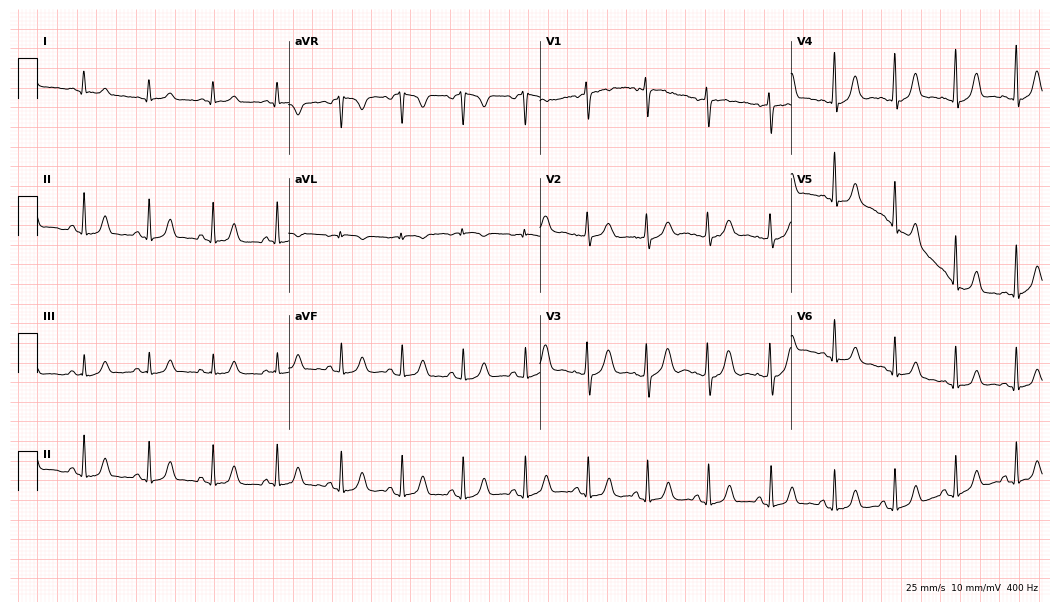
Electrocardiogram (10.2-second recording at 400 Hz), an 18-year-old female. Overall reading on record: normal ECG.